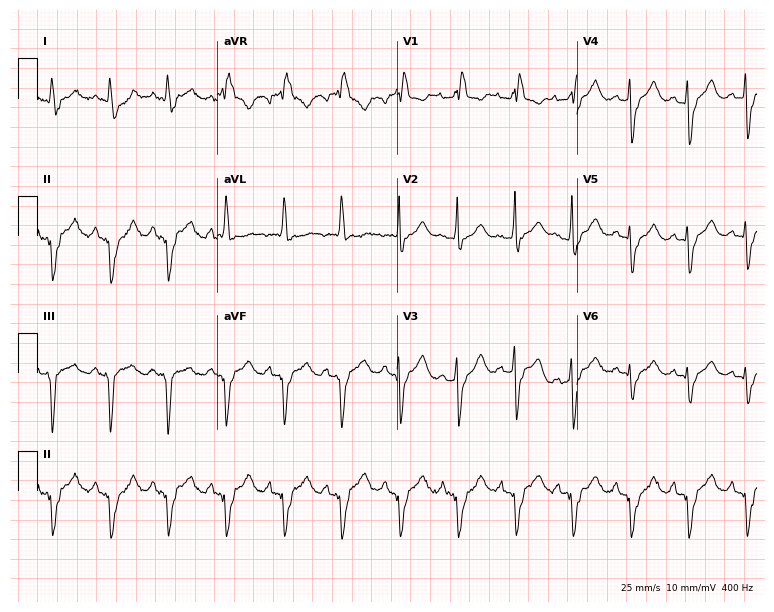
ECG (7.3-second recording at 400 Hz) — a woman, 64 years old. Findings include right bundle branch block.